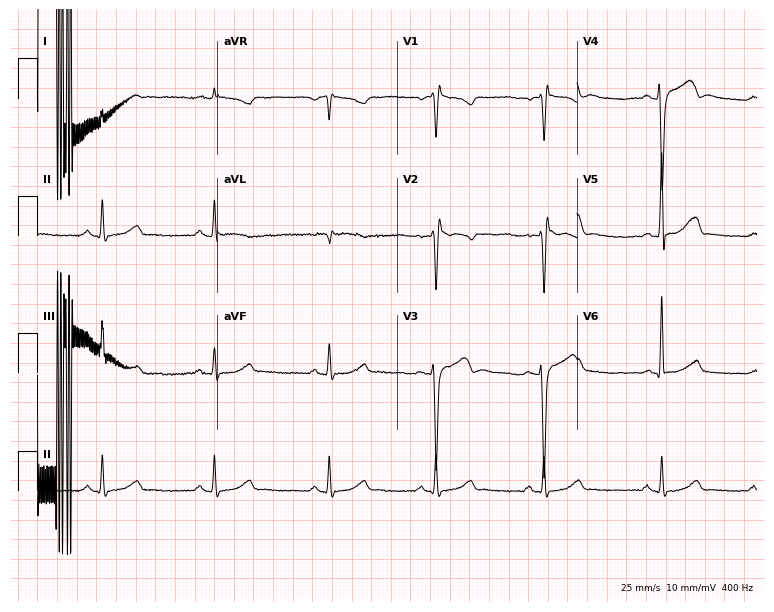
ECG — a 32-year-old man. Labelled as a normal ECG.